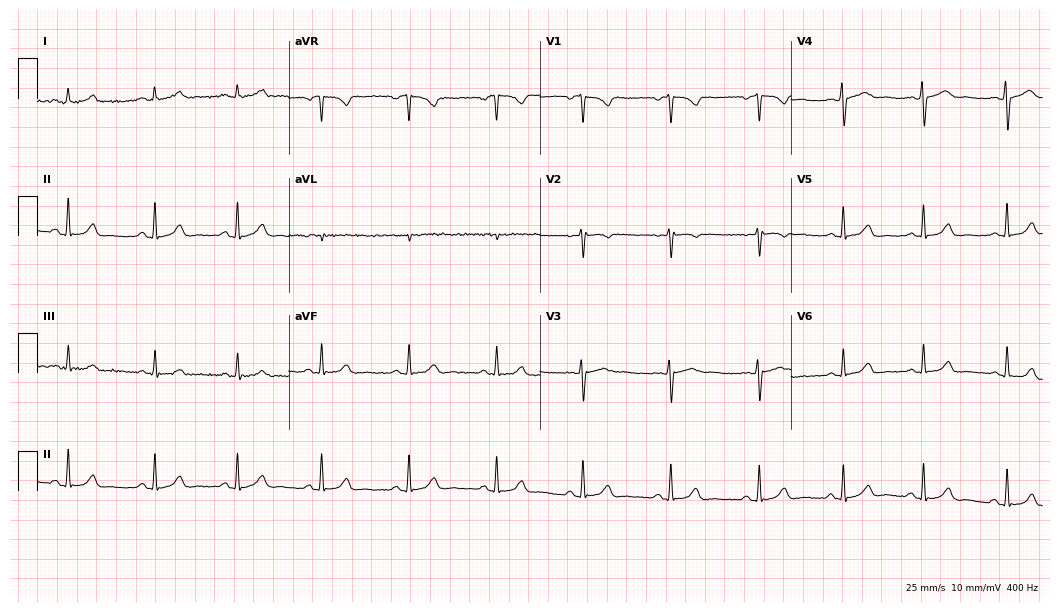
12-lead ECG from a female patient, 30 years old (10.2-second recording at 400 Hz). Recorded interpretation: within normal limits.